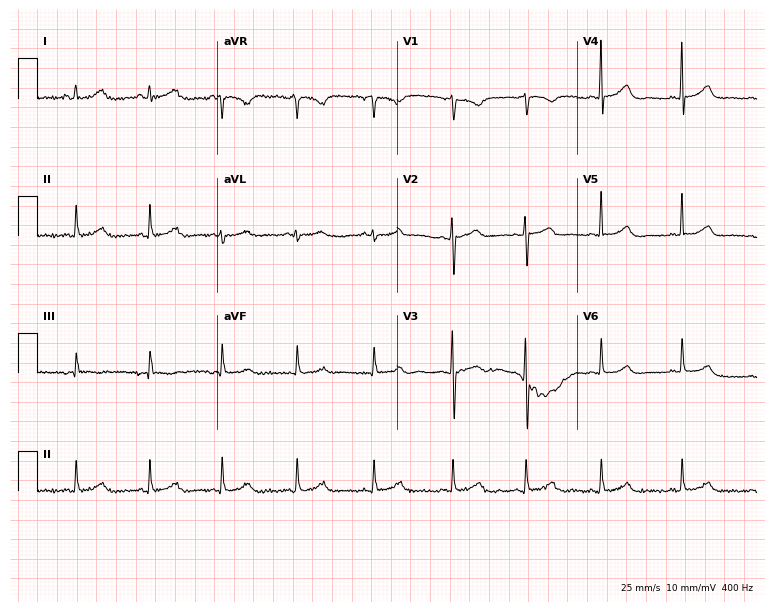
ECG (7.3-second recording at 400 Hz) — a female, 67 years old. Labelled as a normal ECG.